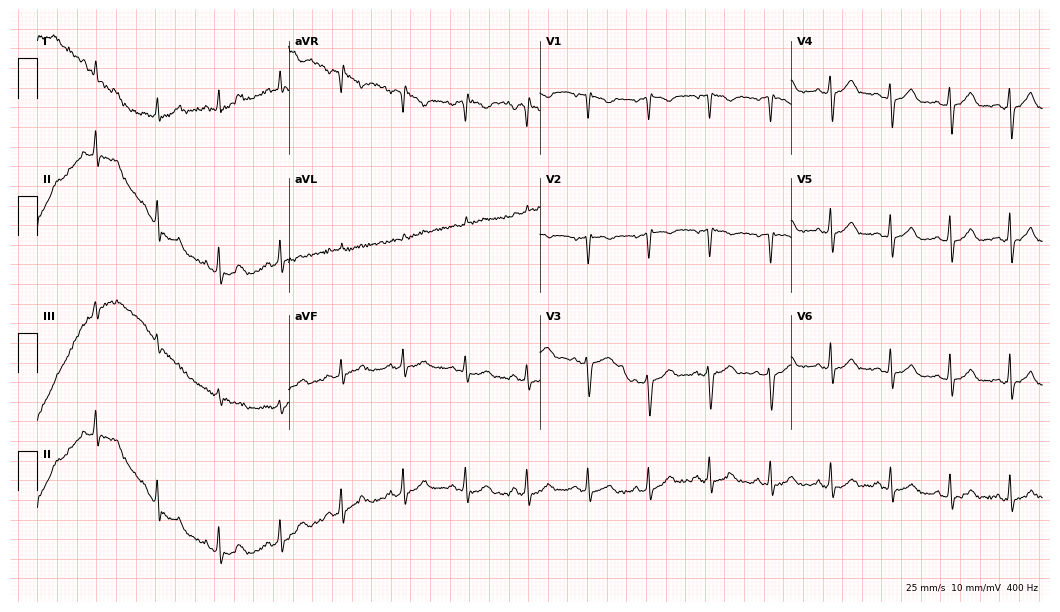
12-lead ECG from a woman, 46 years old. No first-degree AV block, right bundle branch block (RBBB), left bundle branch block (LBBB), sinus bradycardia, atrial fibrillation (AF) or sinus tachycardia recorded for this tracing. Other findings, if any, are not listed.